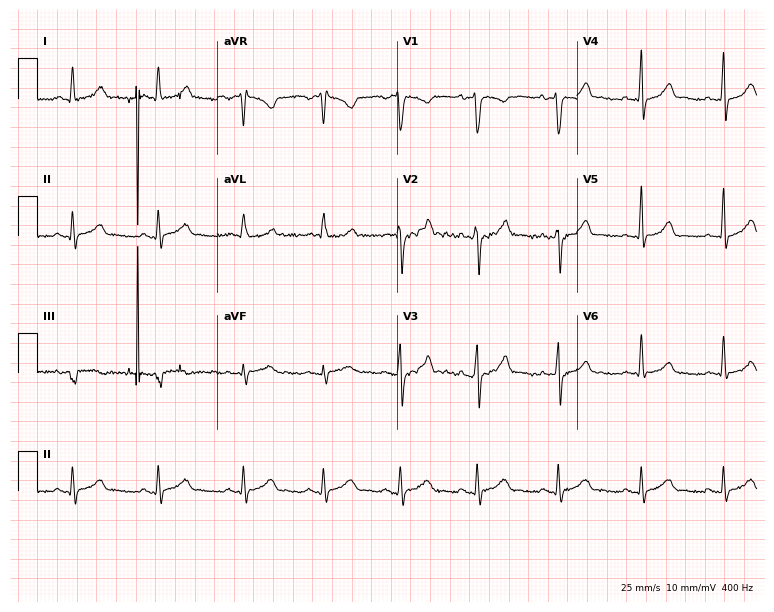
ECG (7.3-second recording at 400 Hz) — a 28-year-old male. Screened for six findings — first-degree AV block, right bundle branch block, left bundle branch block, sinus bradycardia, atrial fibrillation, sinus tachycardia — none is recorded.